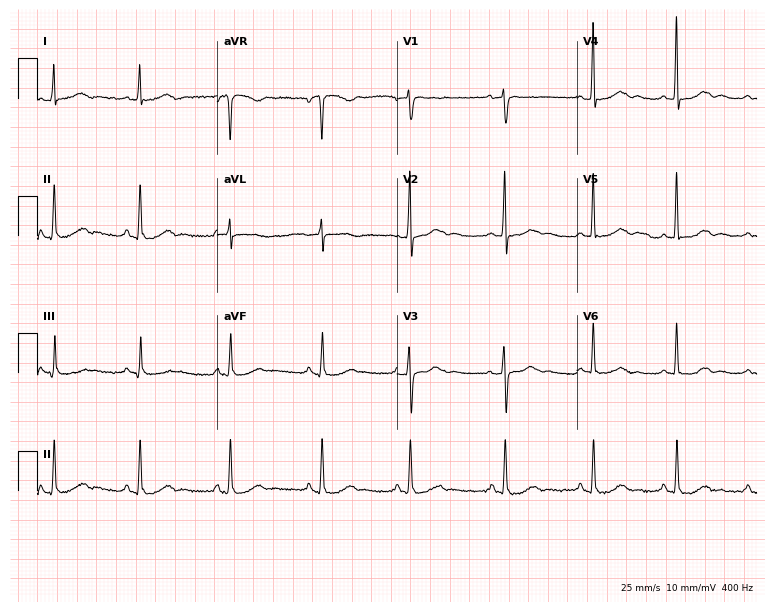
Standard 12-lead ECG recorded from a female, 61 years old (7.3-second recording at 400 Hz). Read as a normal ECG.